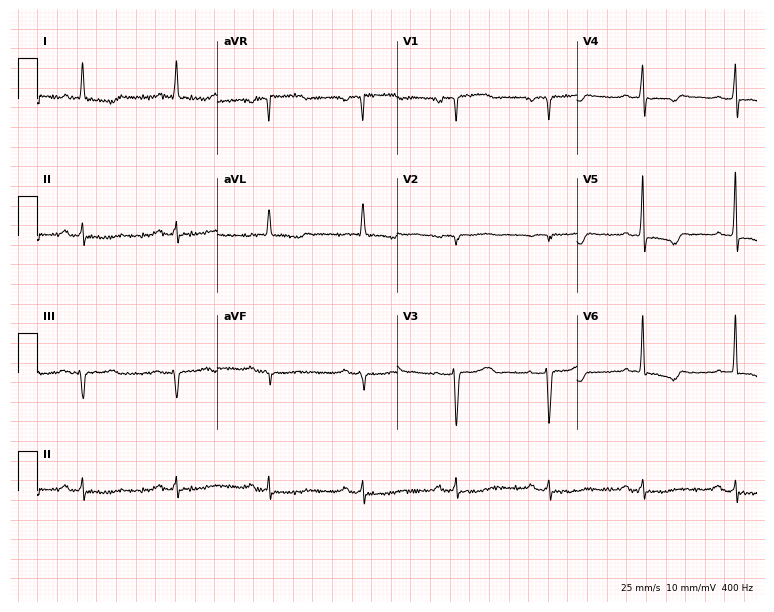
Electrocardiogram (7.3-second recording at 400 Hz), an 80-year-old woman. Of the six screened findings (first-degree AV block, right bundle branch block, left bundle branch block, sinus bradycardia, atrial fibrillation, sinus tachycardia), none is recorded.